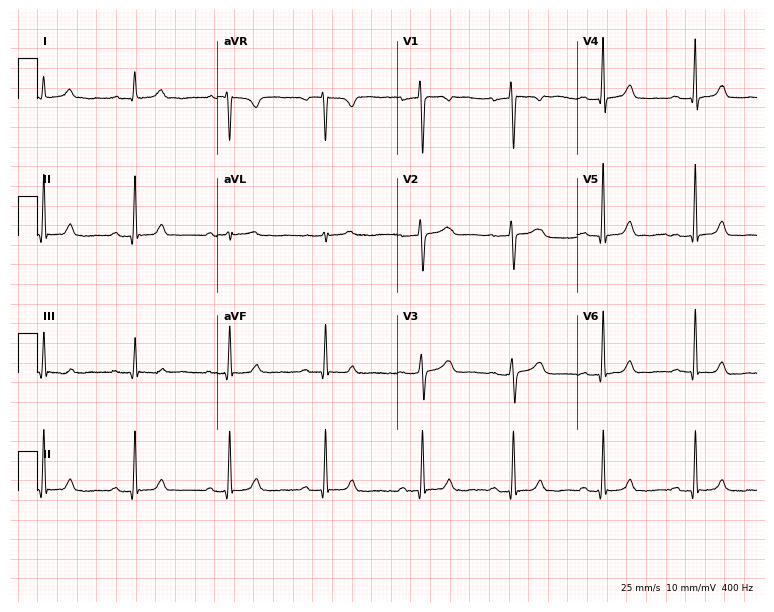
12-lead ECG from a woman, 45 years old (7.3-second recording at 400 Hz). Recorded interpretation: within normal limits.